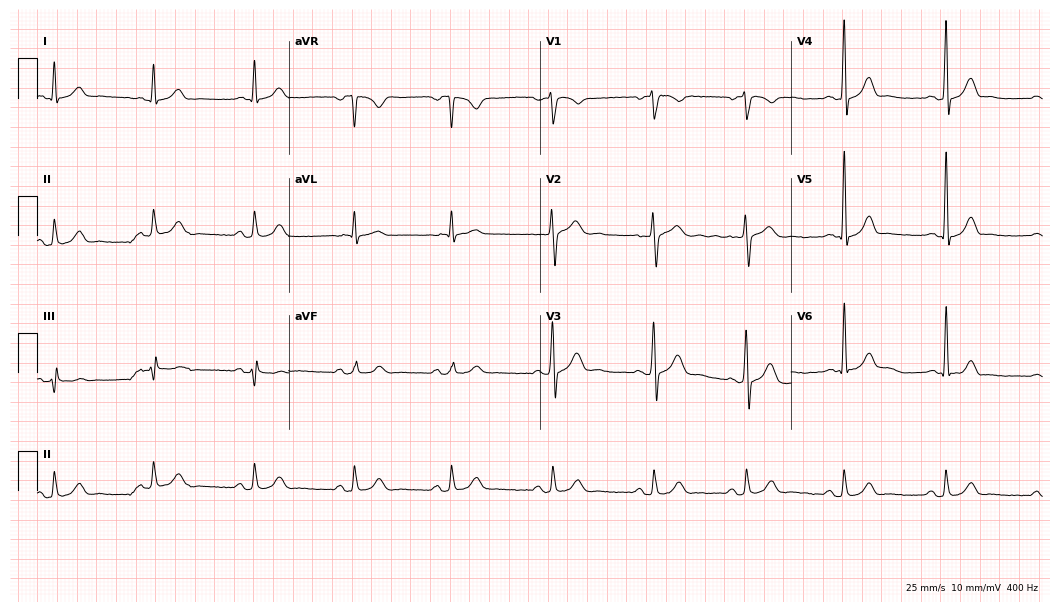
Electrocardiogram, a 38-year-old male patient. Overall reading on record: normal ECG.